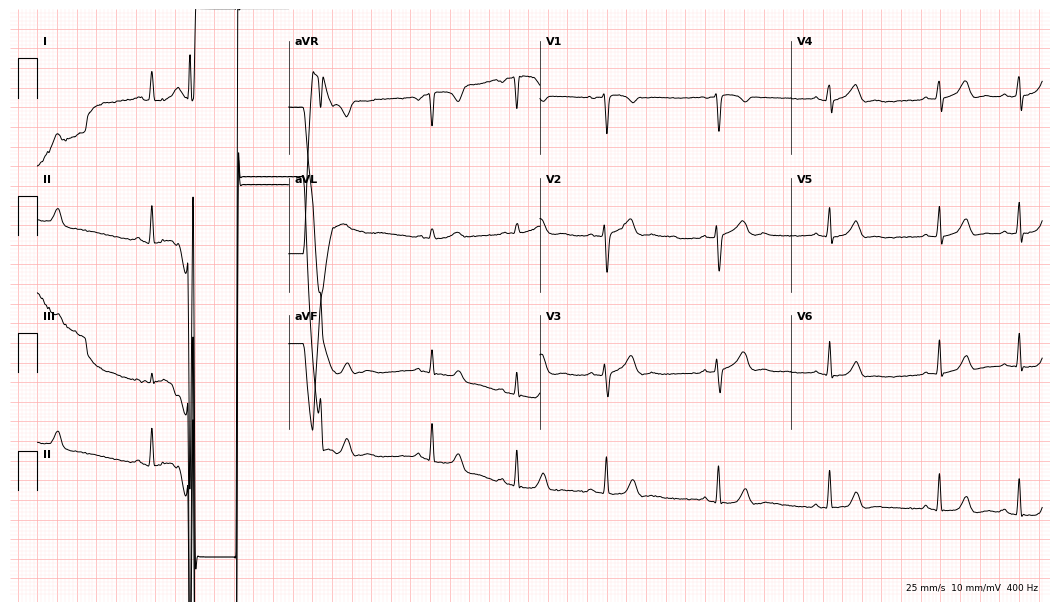
ECG — an 18-year-old woman. Labelled as a normal ECG.